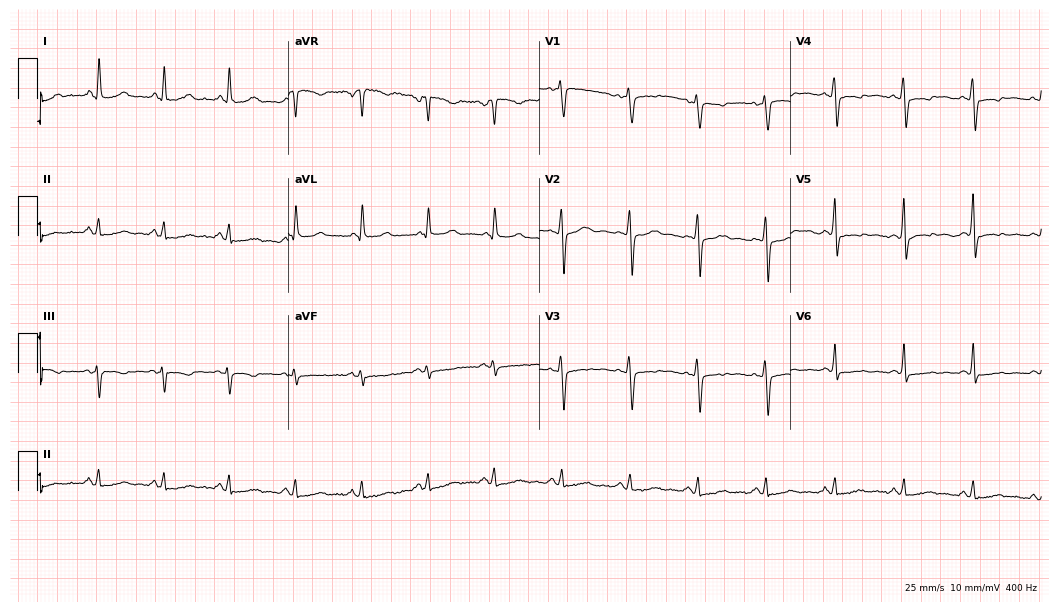
Electrocardiogram (10.2-second recording at 400 Hz), a female, 46 years old. Of the six screened findings (first-degree AV block, right bundle branch block, left bundle branch block, sinus bradycardia, atrial fibrillation, sinus tachycardia), none is recorded.